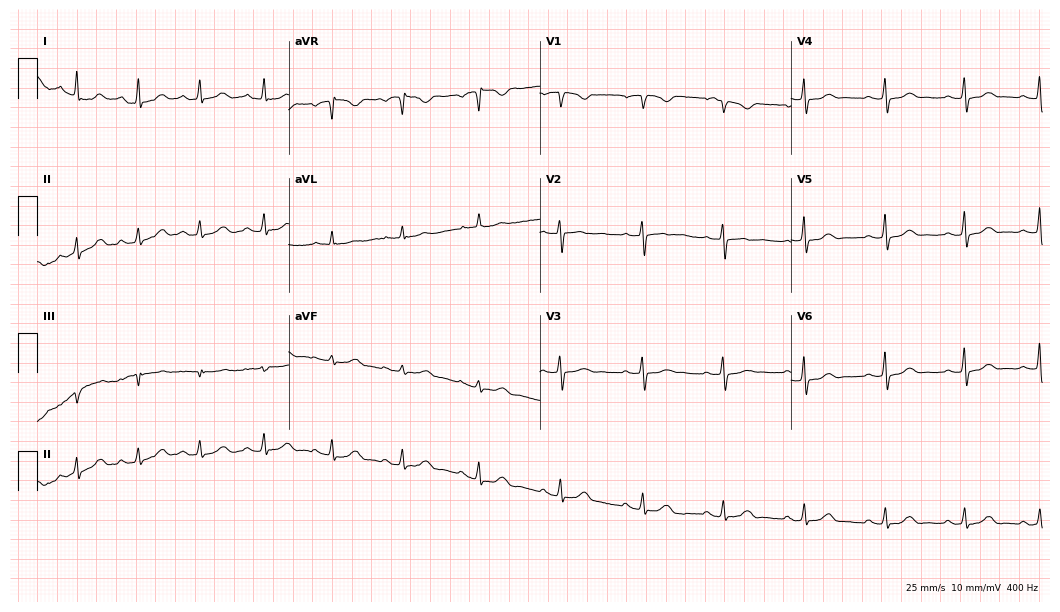
Resting 12-lead electrocardiogram. Patient: a female, 38 years old. Read as a normal ECG.